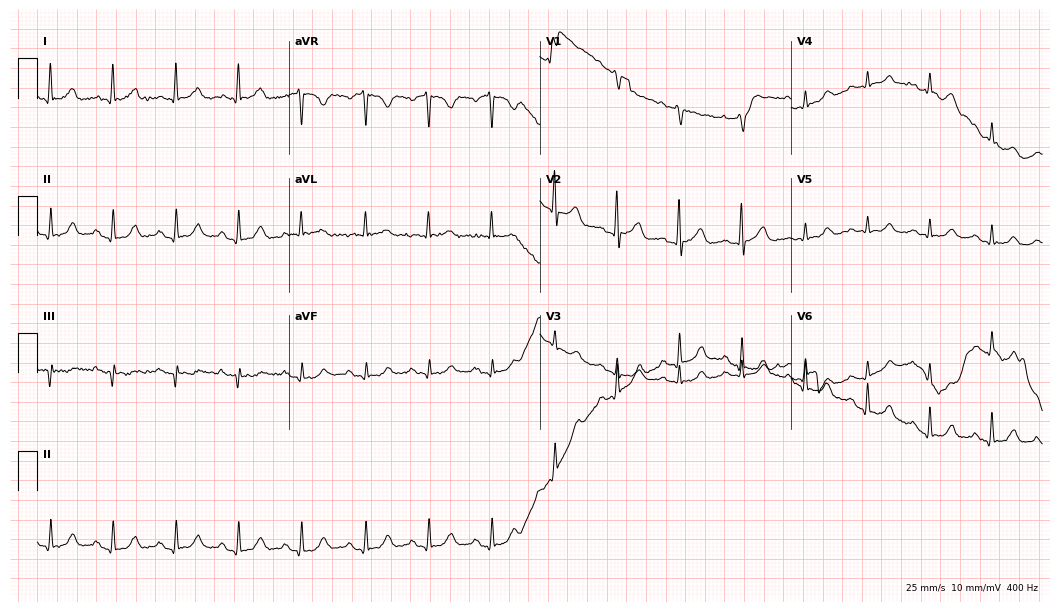
12-lead ECG (10.2-second recording at 400 Hz) from an 83-year-old female. Screened for six findings — first-degree AV block, right bundle branch block, left bundle branch block, sinus bradycardia, atrial fibrillation, sinus tachycardia — none is recorded.